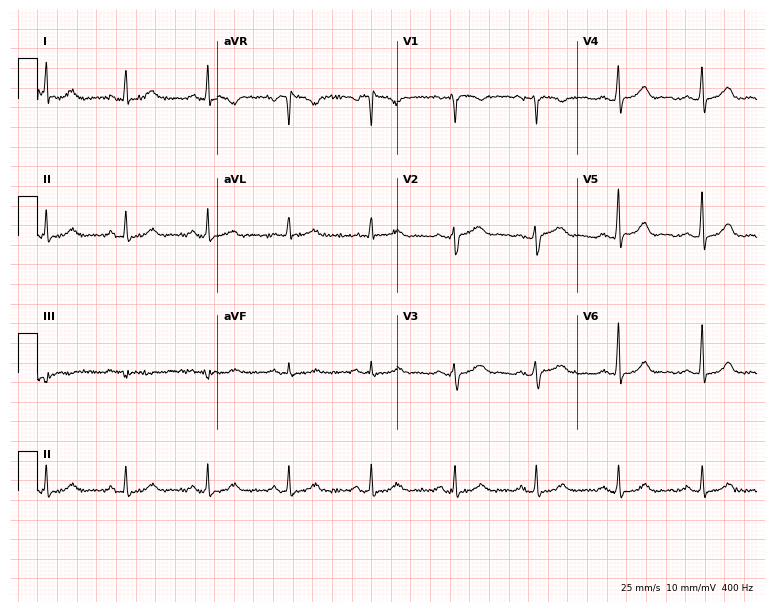
Resting 12-lead electrocardiogram (7.3-second recording at 400 Hz). Patient: a woman, 52 years old. Read as a normal ECG.